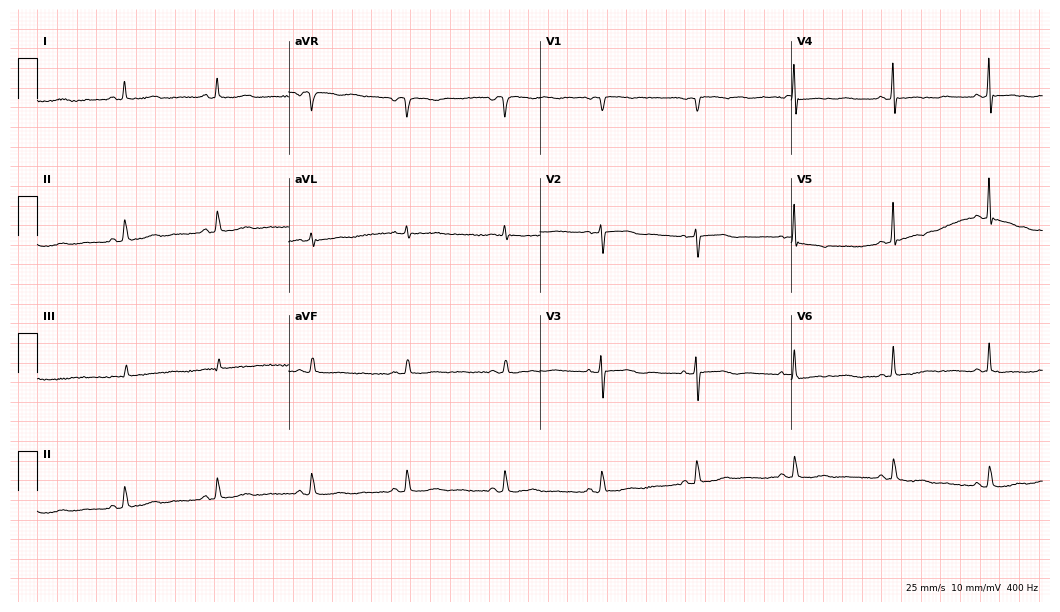
ECG — a female patient, 76 years old. Screened for six findings — first-degree AV block, right bundle branch block, left bundle branch block, sinus bradycardia, atrial fibrillation, sinus tachycardia — none is recorded.